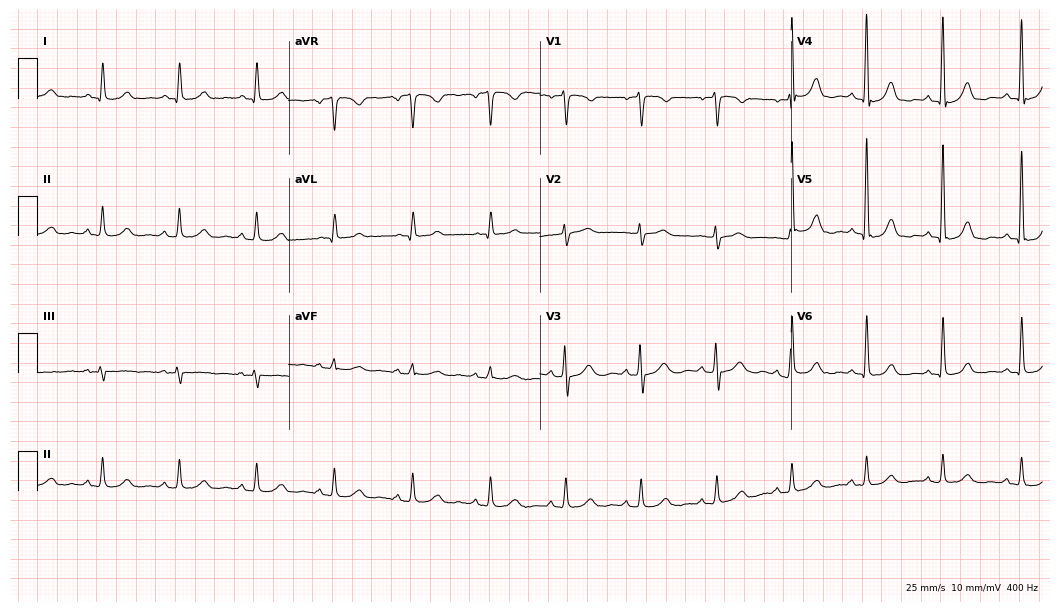
Resting 12-lead electrocardiogram (10.2-second recording at 400 Hz). Patient: a 71-year-old female. None of these six findings is recorded: first-degree AV block, right bundle branch block, left bundle branch block, sinus bradycardia, atrial fibrillation, sinus tachycardia. Other findings, if any, are not listed.